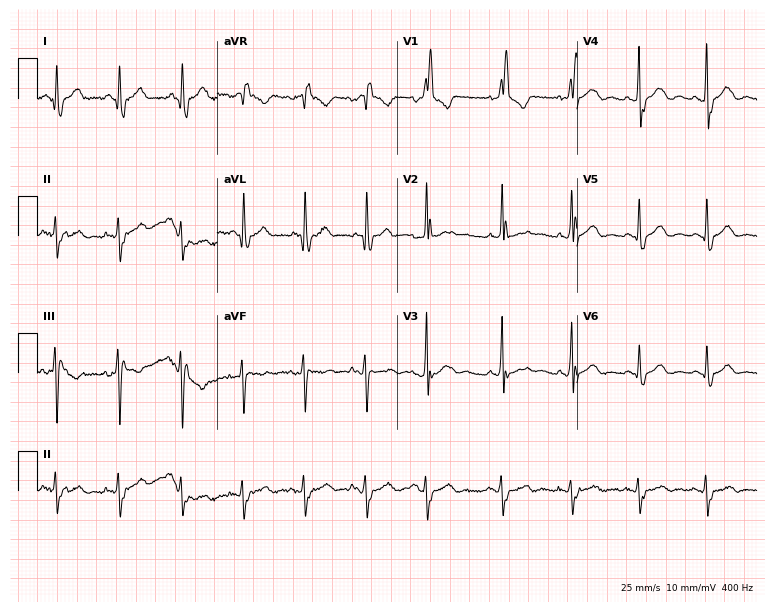
Resting 12-lead electrocardiogram (7.3-second recording at 400 Hz). Patient: a 59-year-old male. The tracing shows right bundle branch block.